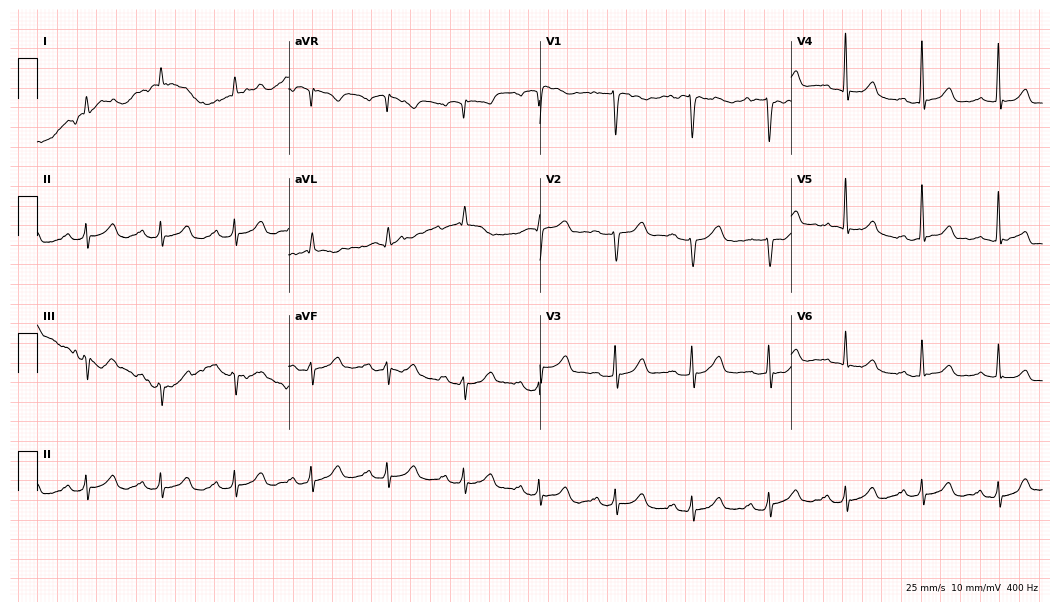
ECG (10.2-second recording at 400 Hz) — a 78-year-old female patient. Findings include first-degree AV block.